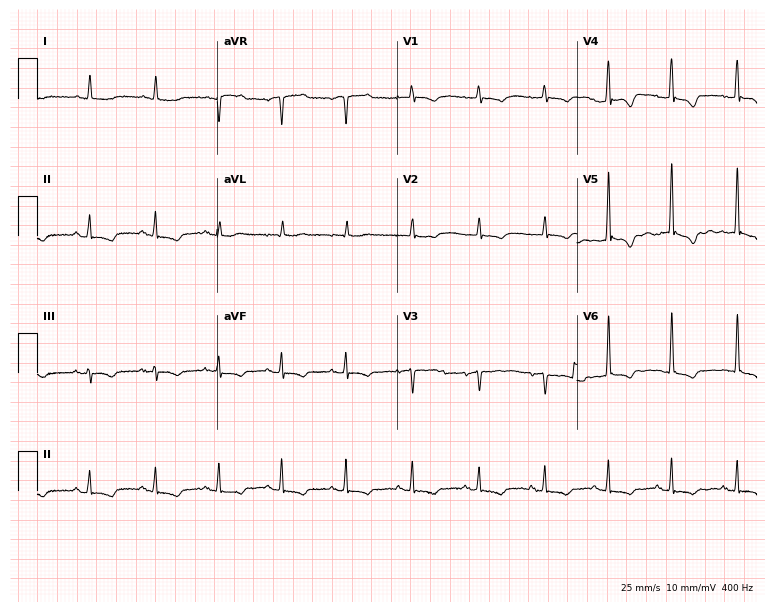
12-lead ECG from a female patient, 77 years old. Screened for six findings — first-degree AV block, right bundle branch block, left bundle branch block, sinus bradycardia, atrial fibrillation, sinus tachycardia — none is recorded. Other findings, if any, are not listed.